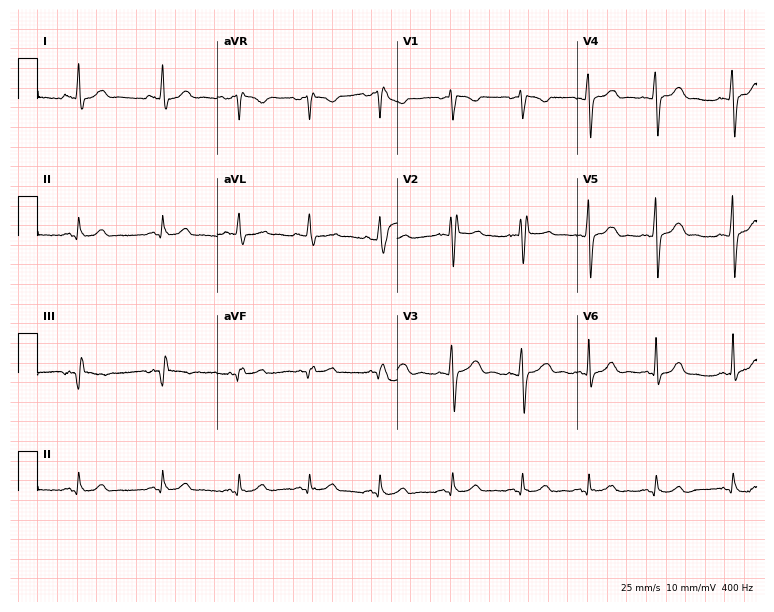
12-lead ECG from a female, 23 years old. Recorded interpretation: within normal limits.